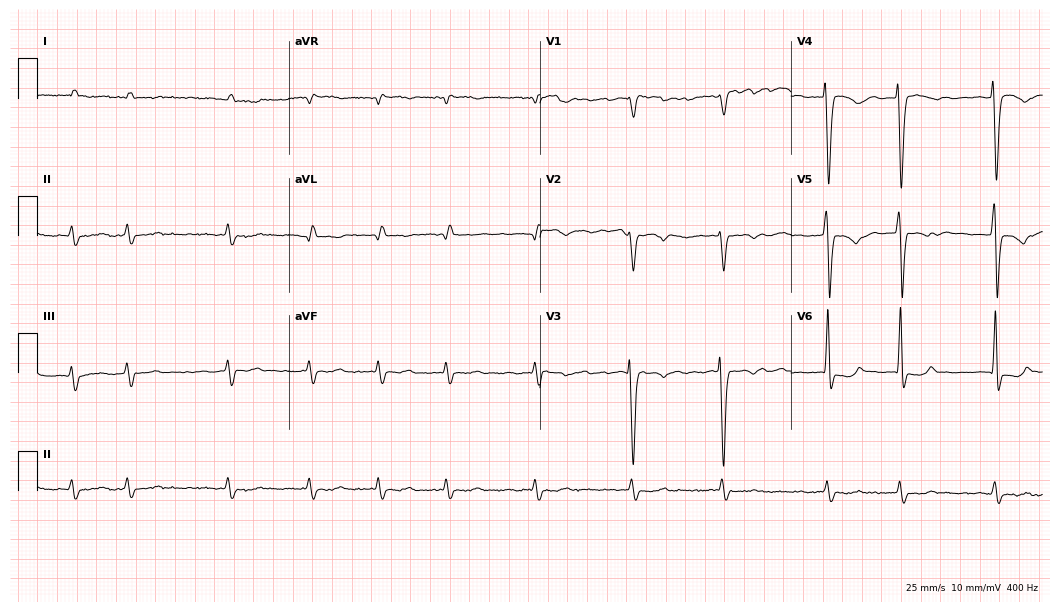
Standard 12-lead ECG recorded from a male patient, 74 years old. The tracing shows left bundle branch block (LBBB), atrial fibrillation (AF).